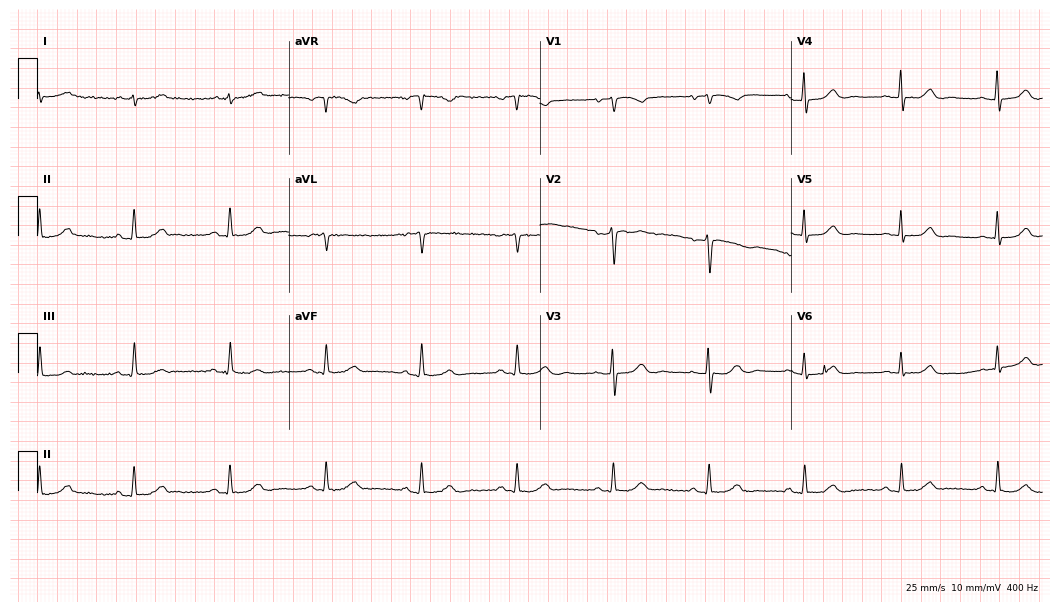
12-lead ECG from an 85-year-old male. Labelled as a normal ECG.